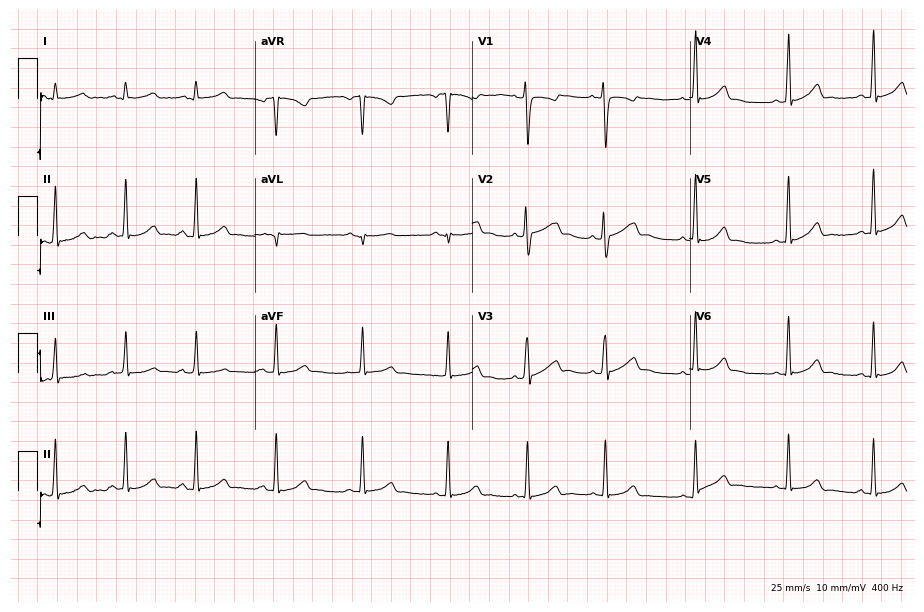
ECG — a female patient, 18 years old. Labelled as a normal ECG.